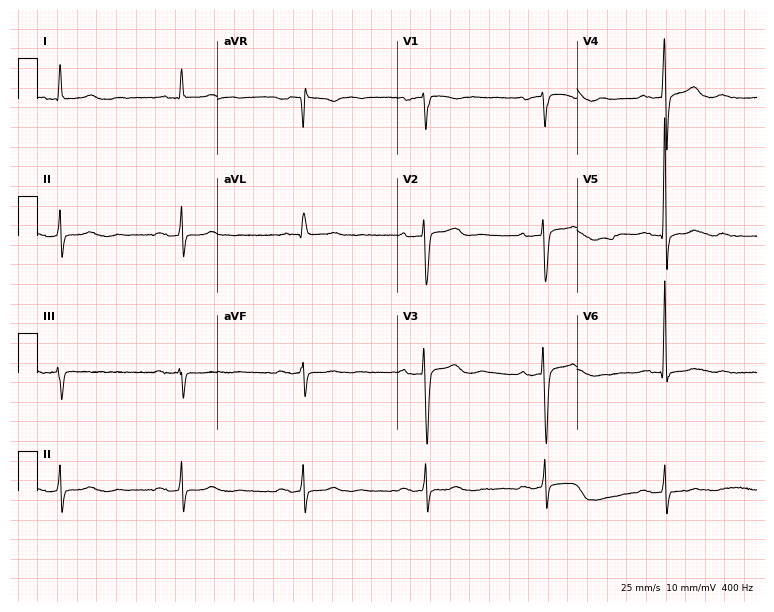
12-lead ECG (7.3-second recording at 400 Hz) from an 80-year-old male patient. Findings include first-degree AV block, right bundle branch block.